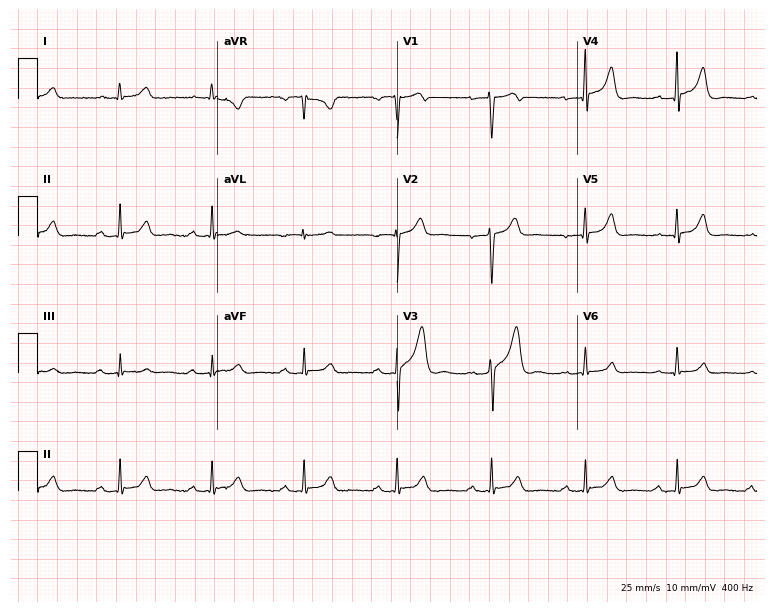
12-lead ECG from a male, 36 years old (7.3-second recording at 400 Hz). Recorded interpretation: within normal limits.